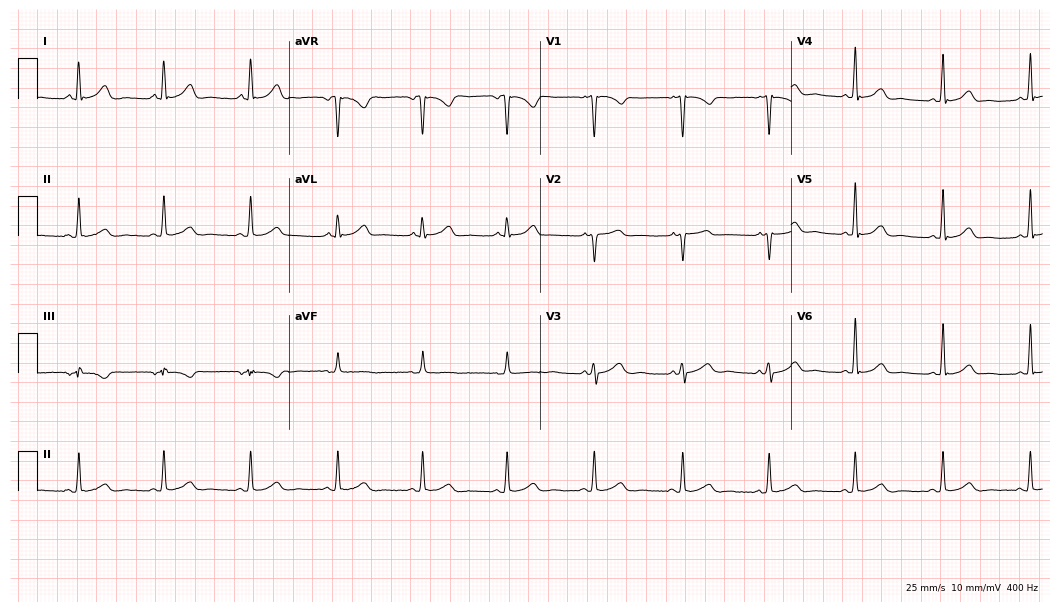
Electrocardiogram (10.2-second recording at 400 Hz), a female, 53 years old. Overall reading on record: normal ECG.